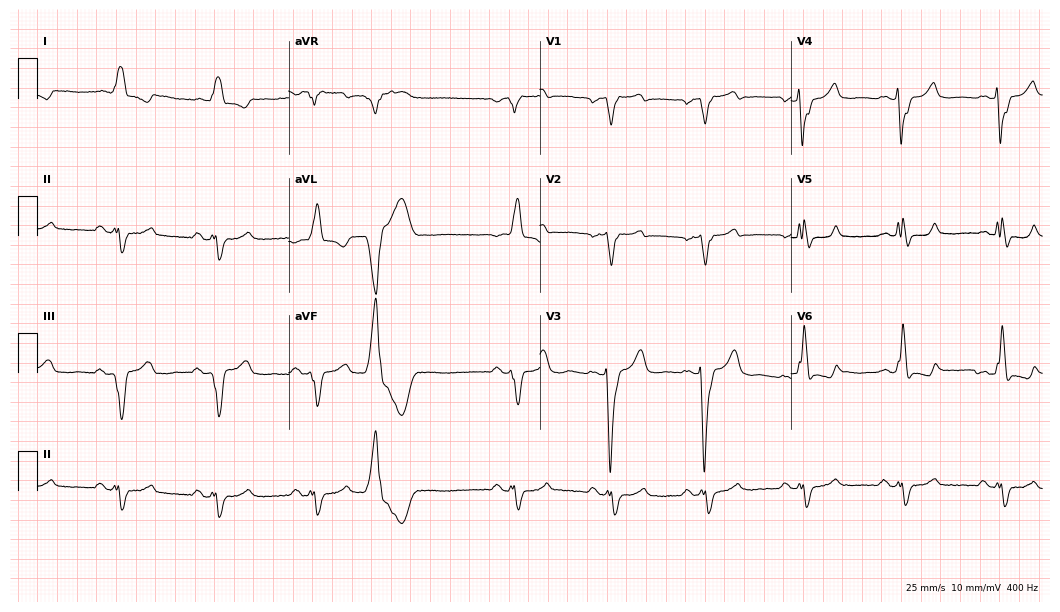
ECG (10.2-second recording at 400 Hz) — a 72-year-old male. Findings include left bundle branch block.